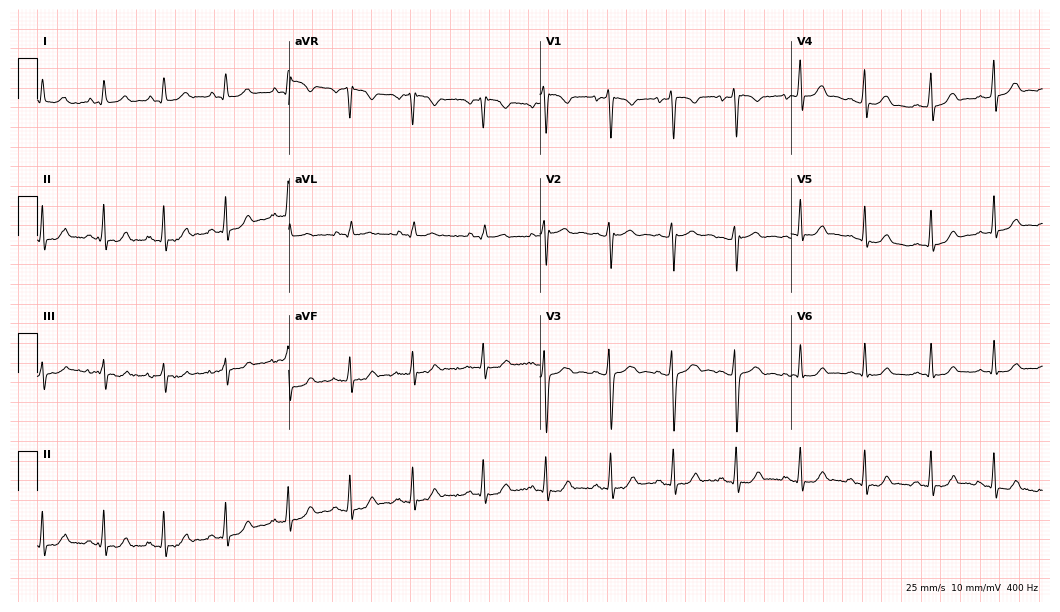
ECG — a female patient, 24 years old. Labelled as a normal ECG.